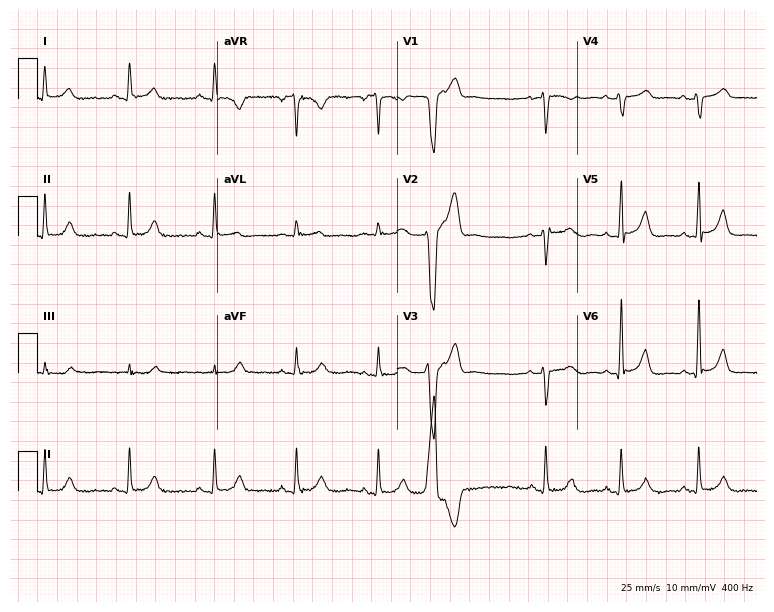
12-lead ECG from a woman, 53 years old. No first-degree AV block, right bundle branch block (RBBB), left bundle branch block (LBBB), sinus bradycardia, atrial fibrillation (AF) or sinus tachycardia recorded for this tracing.